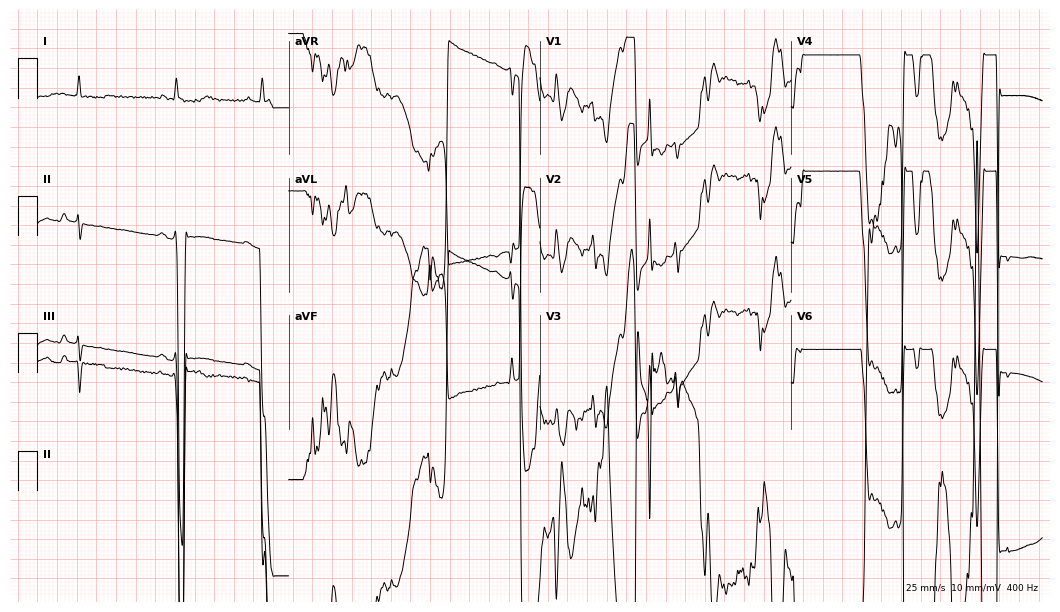
Standard 12-lead ECG recorded from a female patient, 70 years old. None of these six findings is recorded: first-degree AV block, right bundle branch block, left bundle branch block, sinus bradycardia, atrial fibrillation, sinus tachycardia. Only these six findings were labelled.